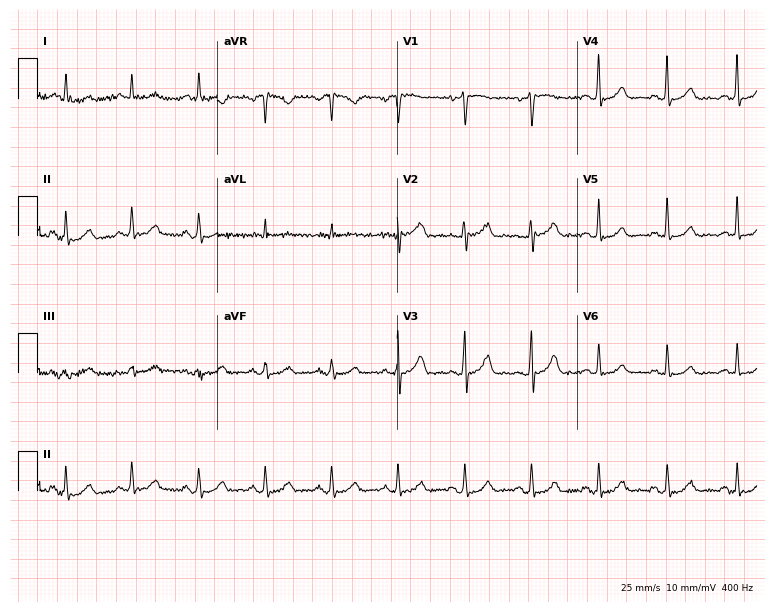
Standard 12-lead ECG recorded from a woman, 50 years old. None of these six findings is recorded: first-degree AV block, right bundle branch block, left bundle branch block, sinus bradycardia, atrial fibrillation, sinus tachycardia. Findings outside these six are not listed.